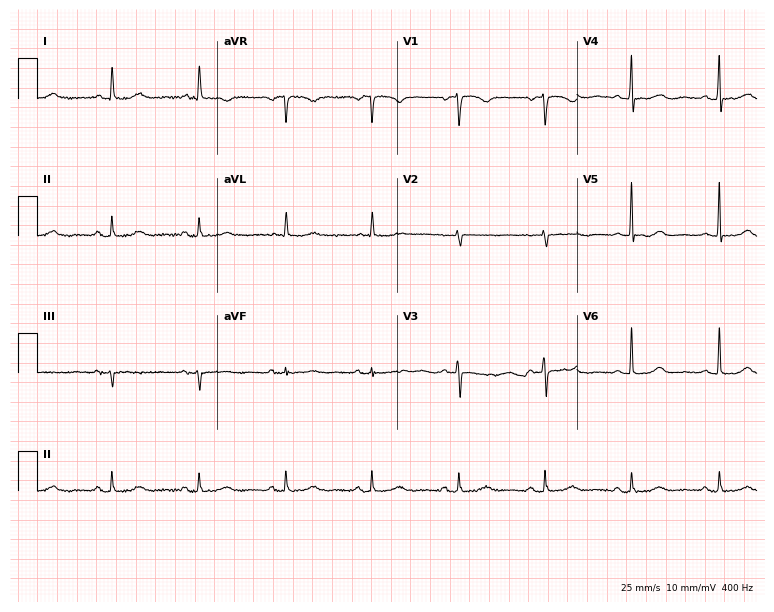
Resting 12-lead electrocardiogram (7.3-second recording at 400 Hz). Patient: a woman, 70 years old. None of these six findings is recorded: first-degree AV block, right bundle branch block, left bundle branch block, sinus bradycardia, atrial fibrillation, sinus tachycardia. Findings outside these six are not listed.